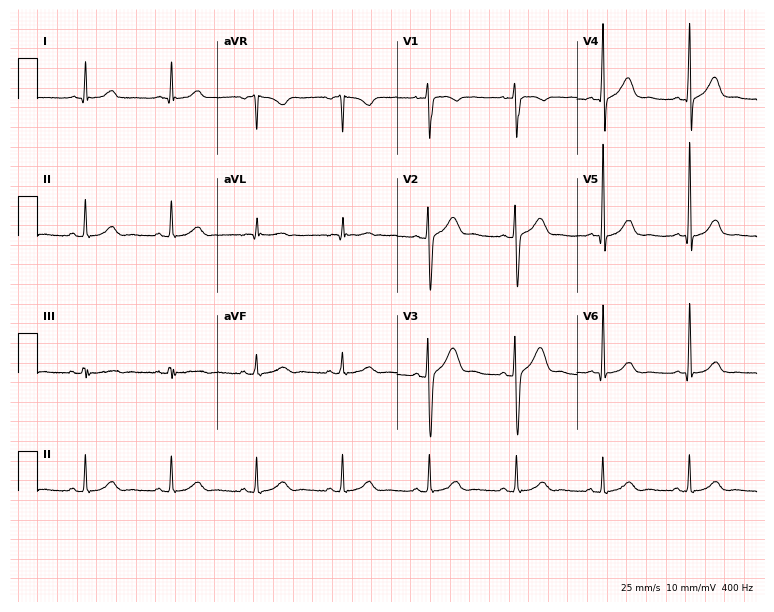
12-lead ECG from a male patient, 47 years old (7.3-second recording at 400 Hz). Recorded interpretation: within normal limits.